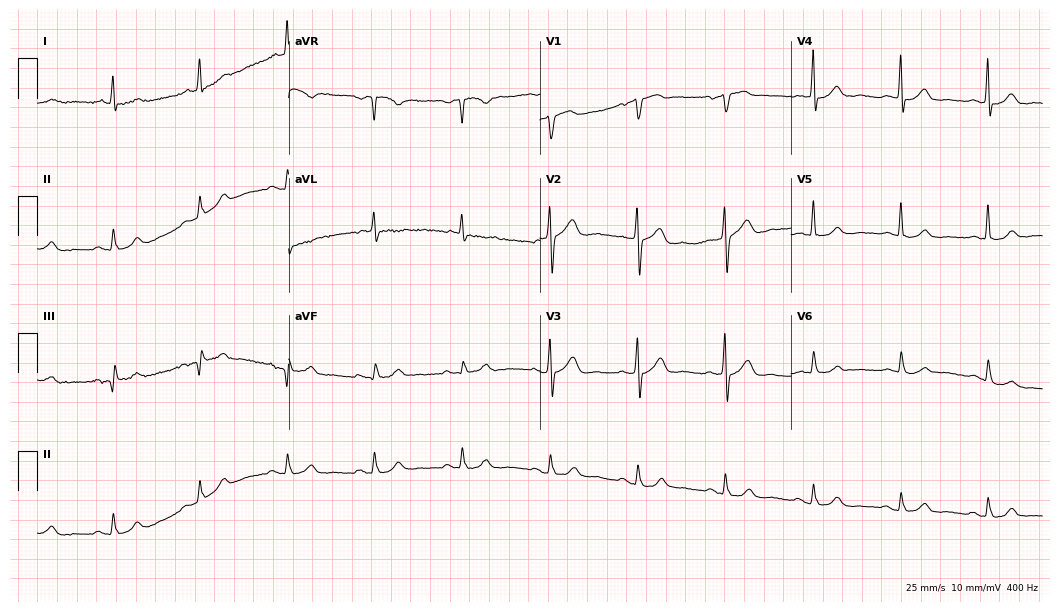
Standard 12-lead ECG recorded from a 74-year-old man. Read as a normal ECG.